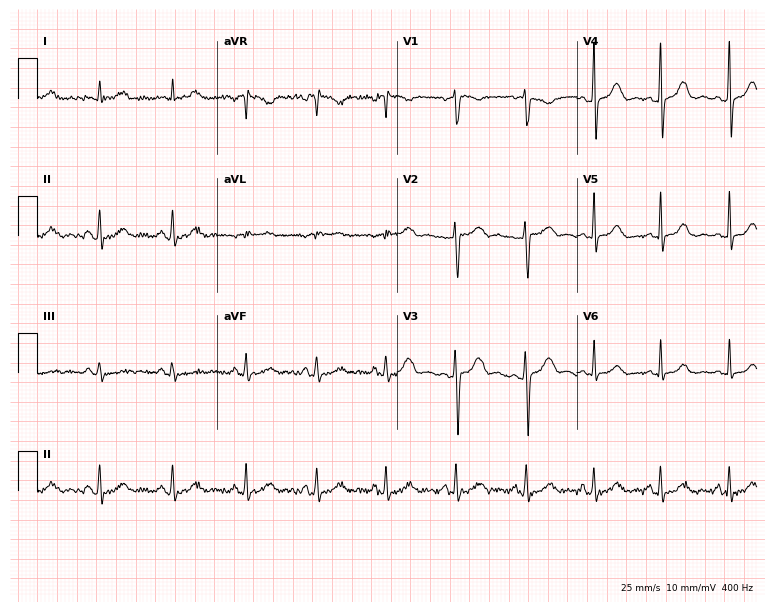
Standard 12-lead ECG recorded from a female patient, 32 years old. None of these six findings is recorded: first-degree AV block, right bundle branch block, left bundle branch block, sinus bradycardia, atrial fibrillation, sinus tachycardia.